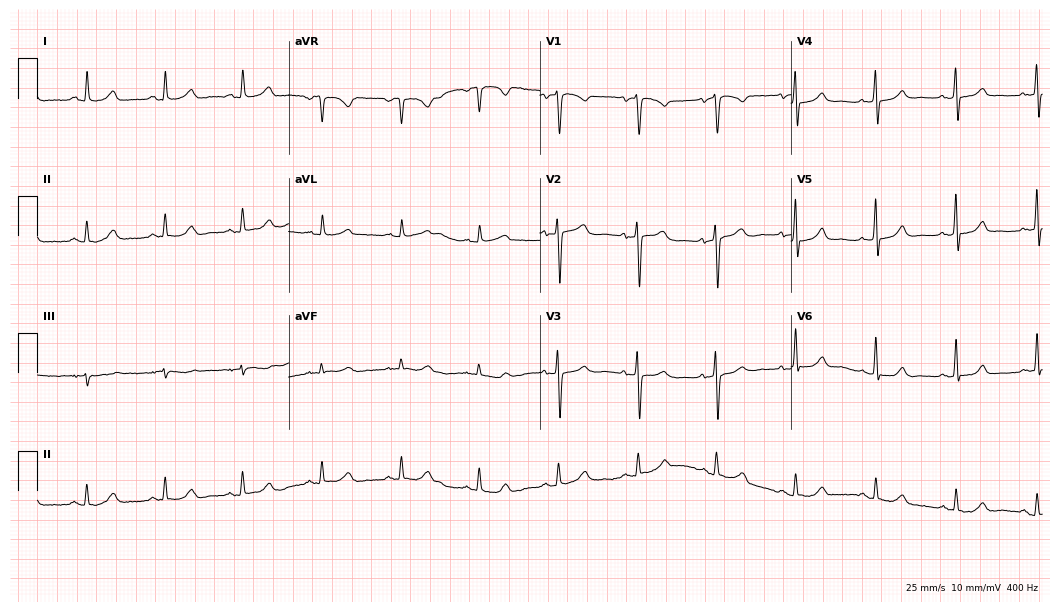
ECG (10.2-second recording at 400 Hz) — a 54-year-old woman. Labelled as a normal ECG.